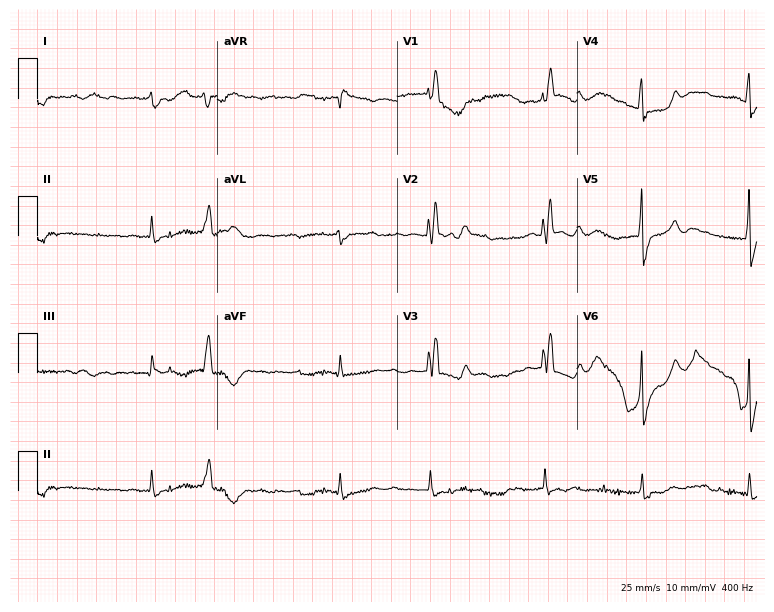
12-lead ECG (7.3-second recording at 400 Hz) from a 76-year-old male patient. Screened for six findings — first-degree AV block, right bundle branch block (RBBB), left bundle branch block (LBBB), sinus bradycardia, atrial fibrillation (AF), sinus tachycardia — none is recorded.